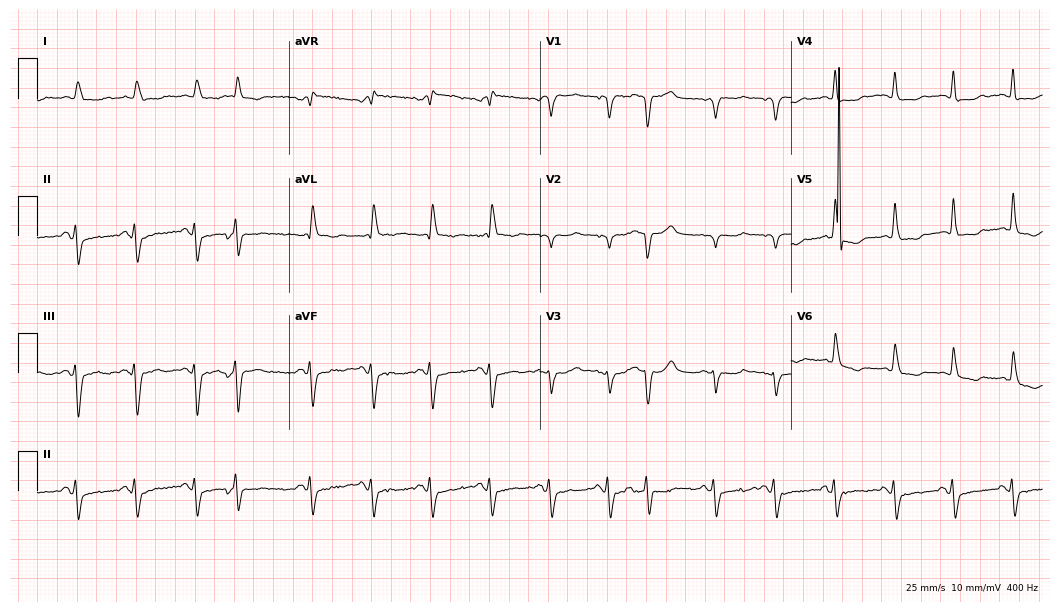
ECG — a male patient, 85 years old. Screened for six findings — first-degree AV block, right bundle branch block, left bundle branch block, sinus bradycardia, atrial fibrillation, sinus tachycardia — none is recorded.